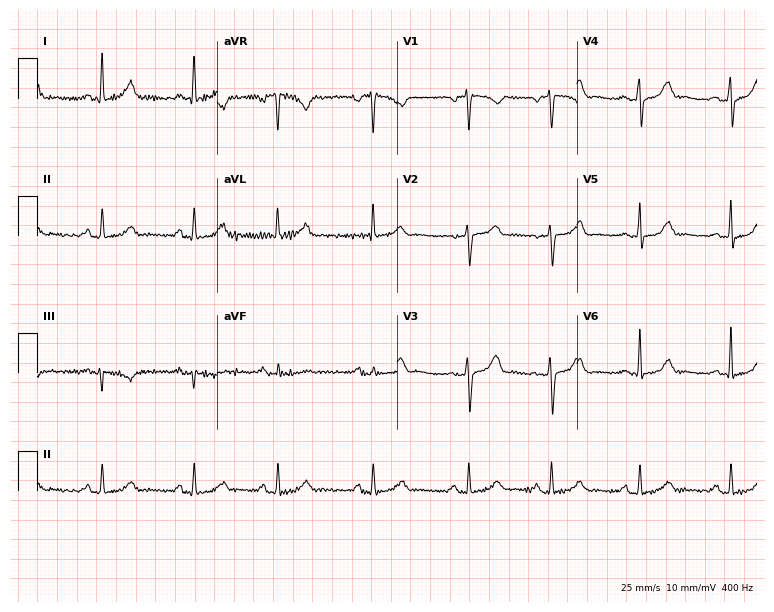
12-lead ECG from a 39-year-old female. Recorded interpretation: within normal limits.